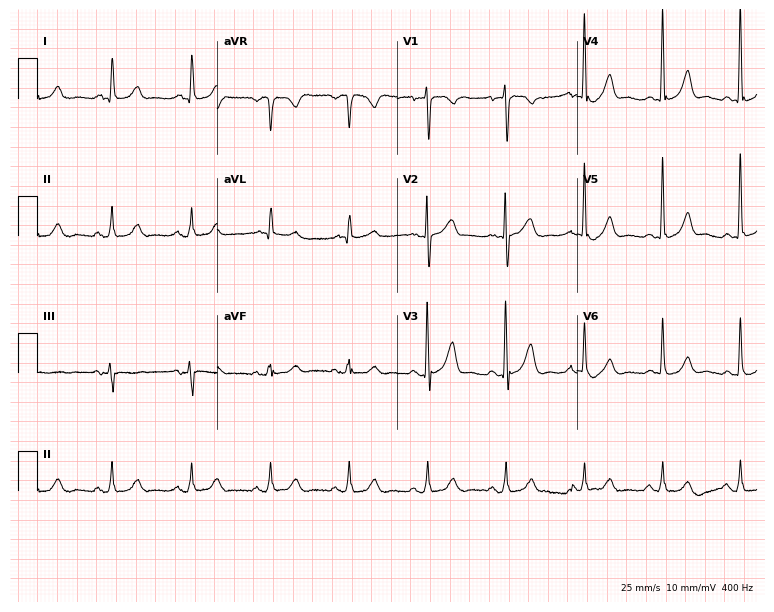
ECG (7.3-second recording at 400 Hz) — a man, 79 years old. Labelled as a normal ECG.